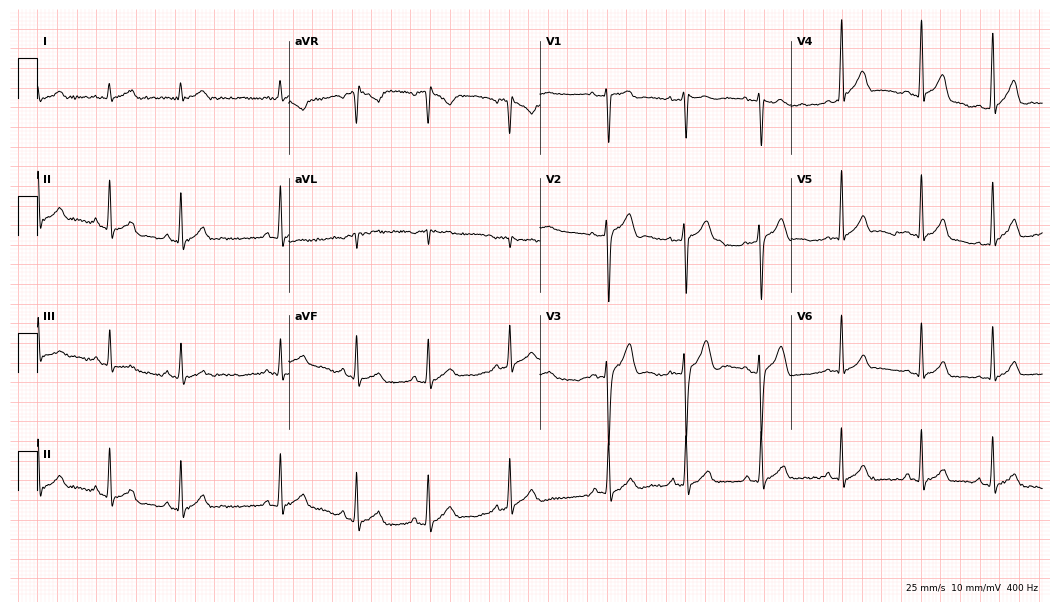
12-lead ECG (10.2-second recording at 400 Hz) from a man, 19 years old. Screened for six findings — first-degree AV block, right bundle branch block, left bundle branch block, sinus bradycardia, atrial fibrillation, sinus tachycardia — none is recorded. Findings outside these six are not listed.